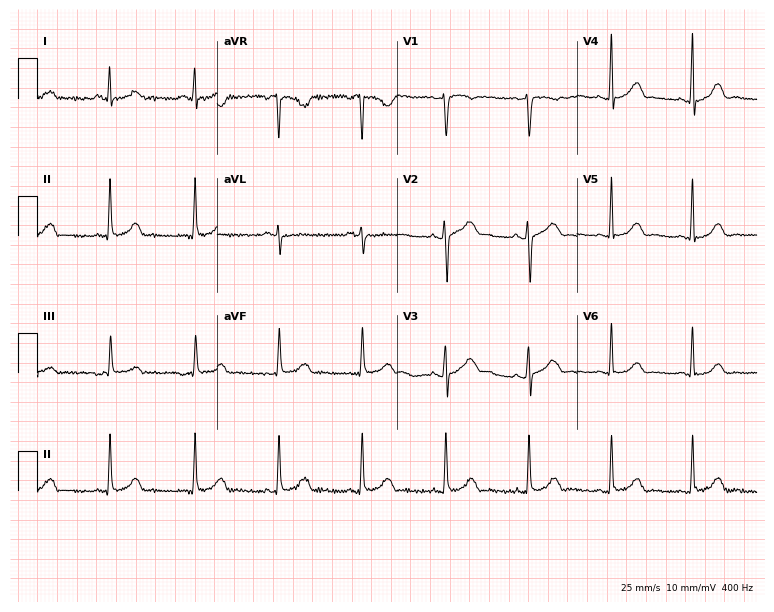
Electrocardiogram (7.3-second recording at 400 Hz), a female, 36 years old. Overall reading on record: normal ECG.